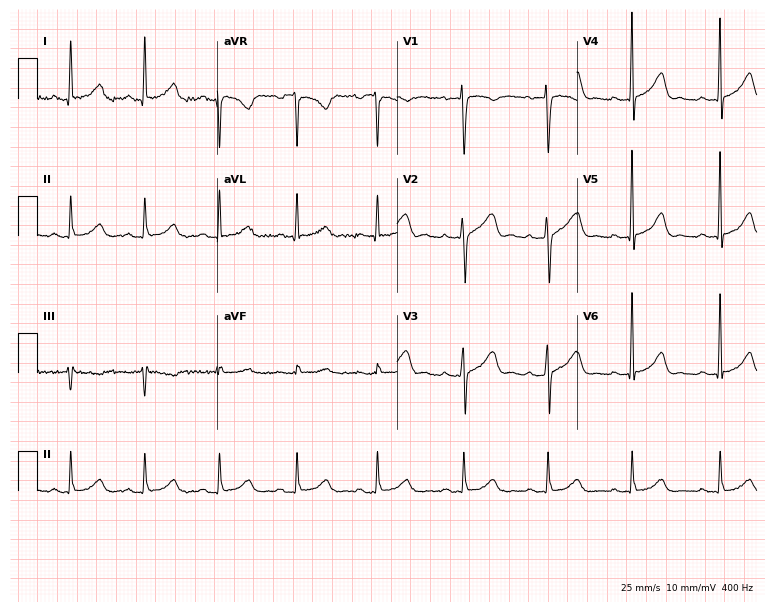
Resting 12-lead electrocardiogram. Patient: a woman, 41 years old. Read as a normal ECG.